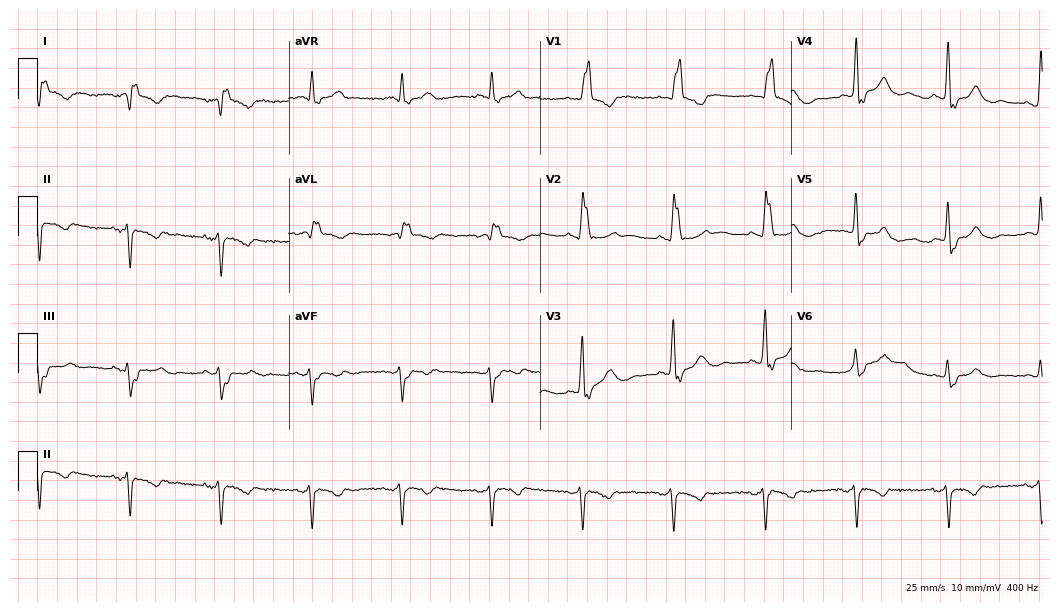
Standard 12-lead ECG recorded from a male, 78 years old (10.2-second recording at 400 Hz). None of these six findings is recorded: first-degree AV block, right bundle branch block, left bundle branch block, sinus bradycardia, atrial fibrillation, sinus tachycardia. Only these six findings were labelled.